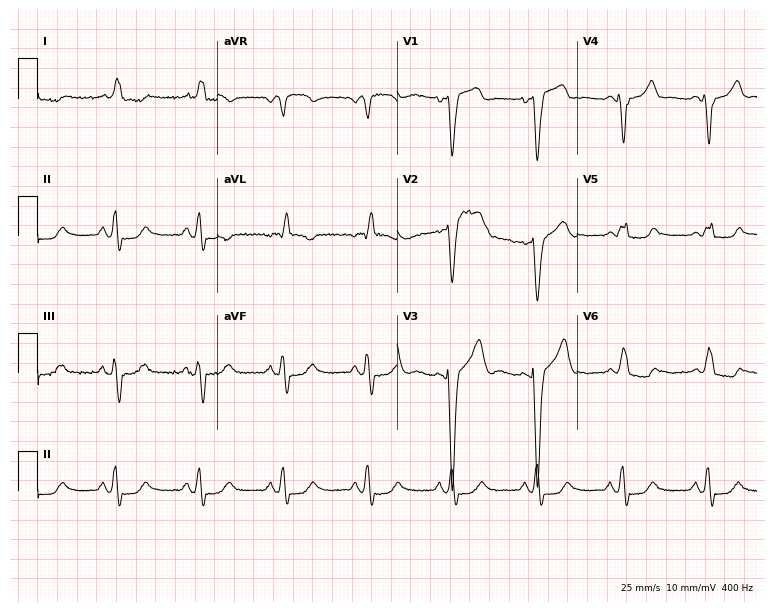
Electrocardiogram (7.3-second recording at 400 Hz), a 71-year-old woman. Interpretation includes left bundle branch block.